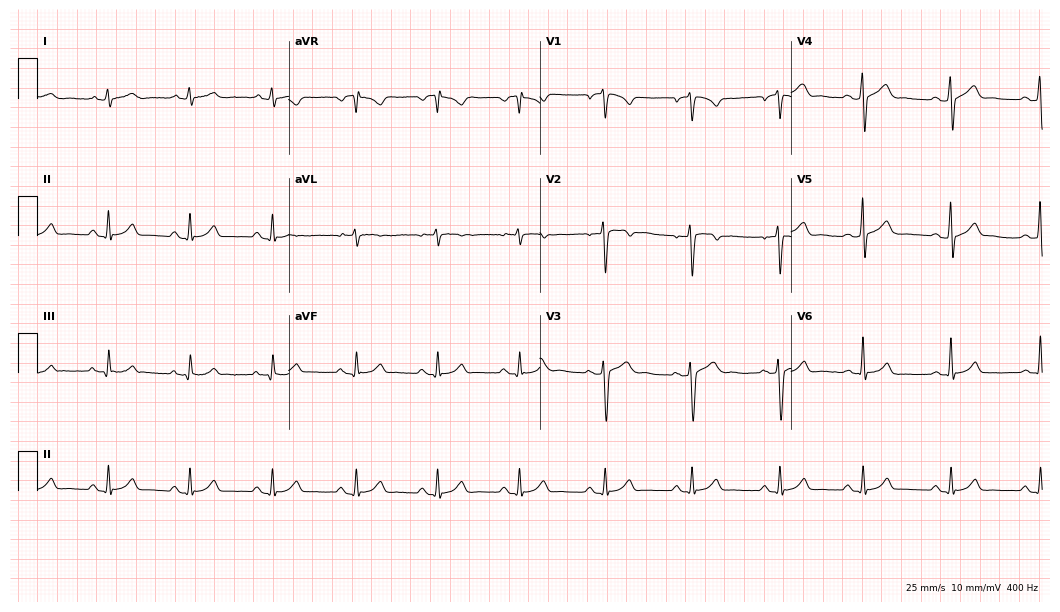
Standard 12-lead ECG recorded from a 27-year-old male patient (10.2-second recording at 400 Hz). Read as a normal ECG.